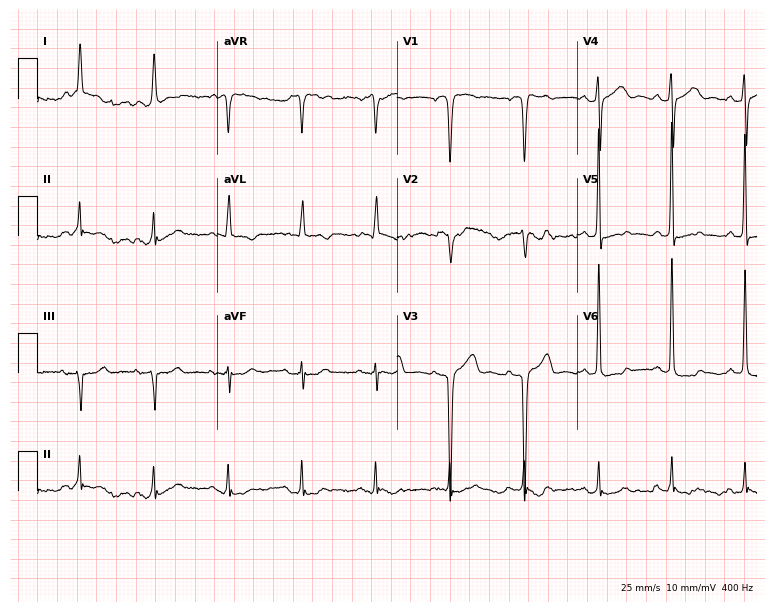
12-lead ECG from a man, 80 years old (7.3-second recording at 400 Hz). No first-degree AV block, right bundle branch block, left bundle branch block, sinus bradycardia, atrial fibrillation or sinus tachycardia recorded for this tracing. Findings outside these six are not listed.